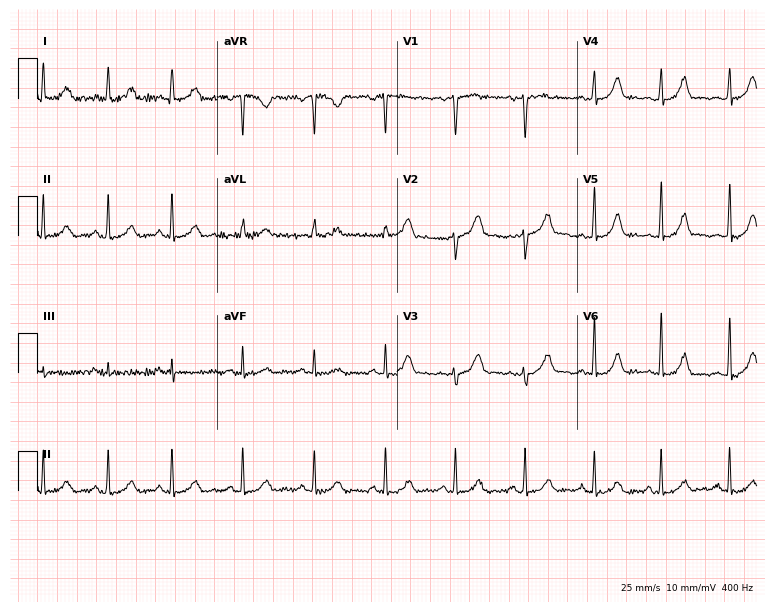
Electrocardiogram (7.3-second recording at 400 Hz), a 37-year-old woman. Overall reading on record: normal ECG.